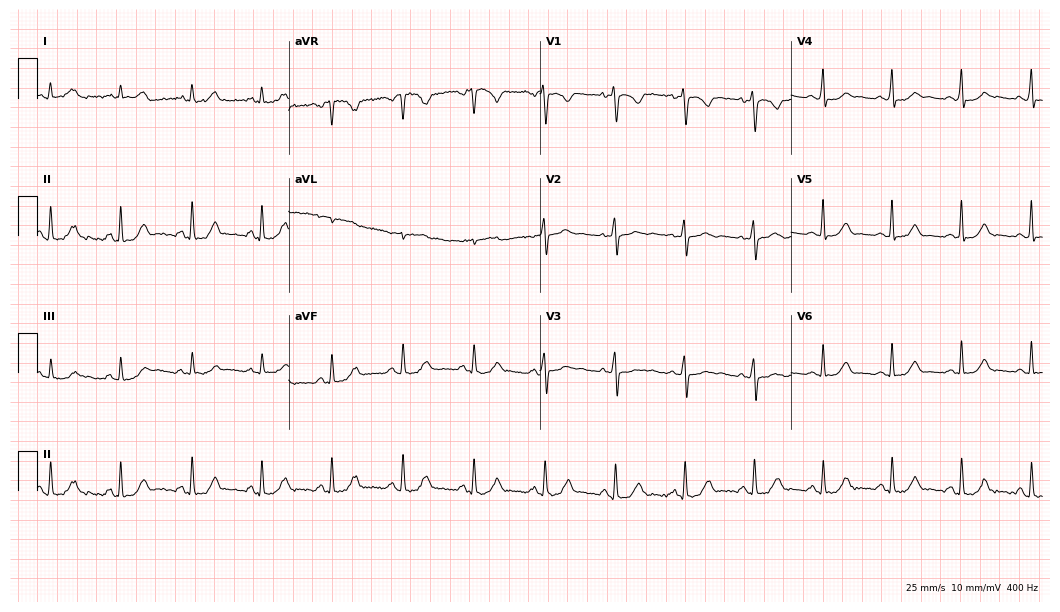
12-lead ECG from a woman, 33 years old. Labelled as a normal ECG.